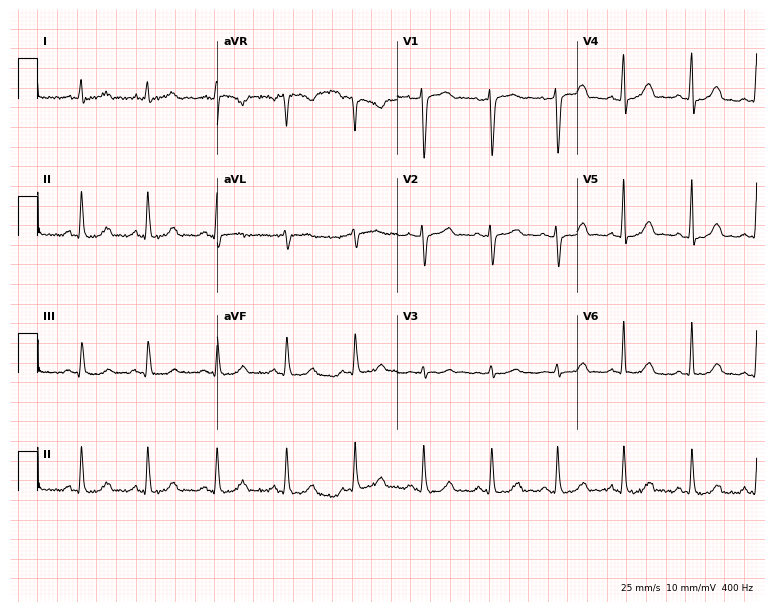
Electrocardiogram, a female, 29 years old. Overall reading on record: normal ECG.